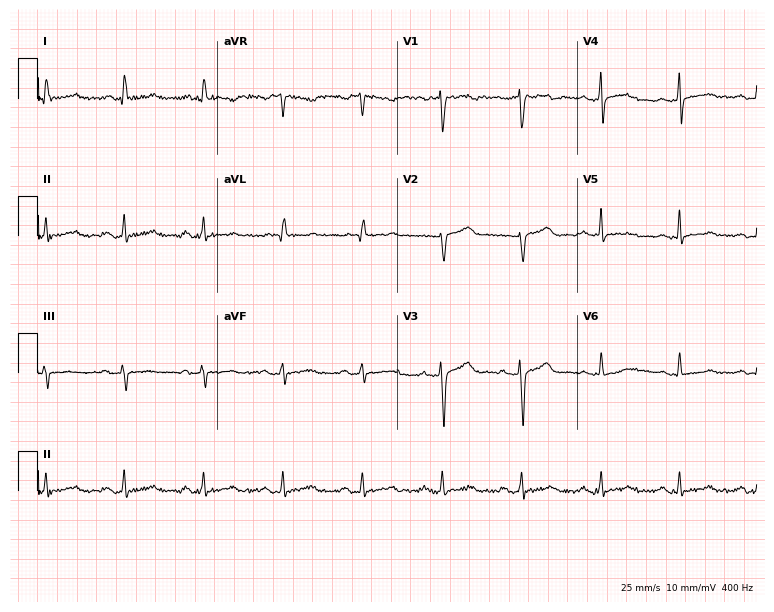
12-lead ECG from a male, 59 years old. Labelled as a normal ECG.